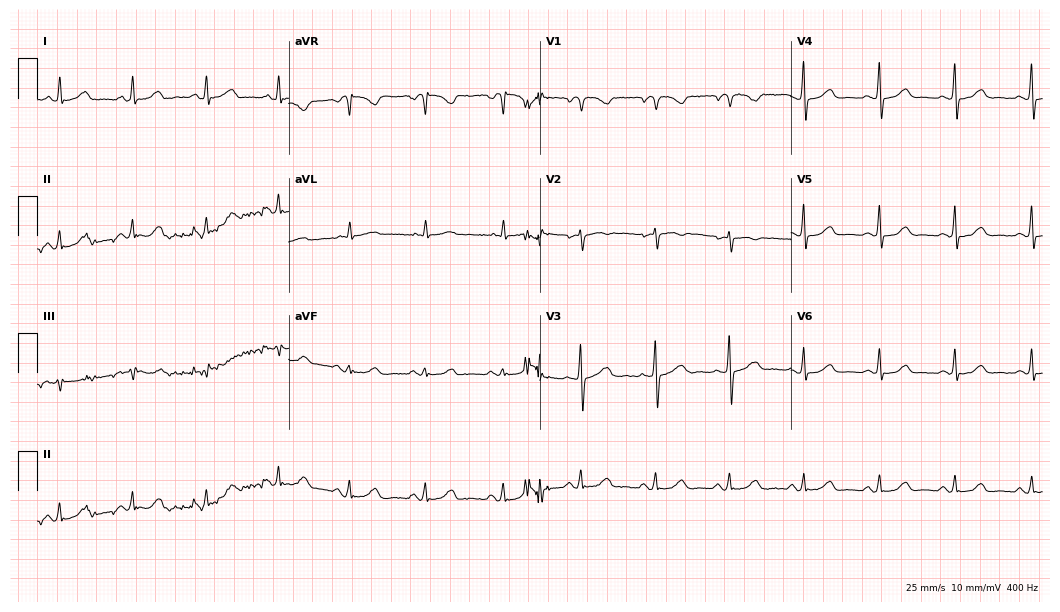
12-lead ECG from a female patient, 43 years old (10.2-second recording at 400 Hz). Recorded interpretation: within normal limits.